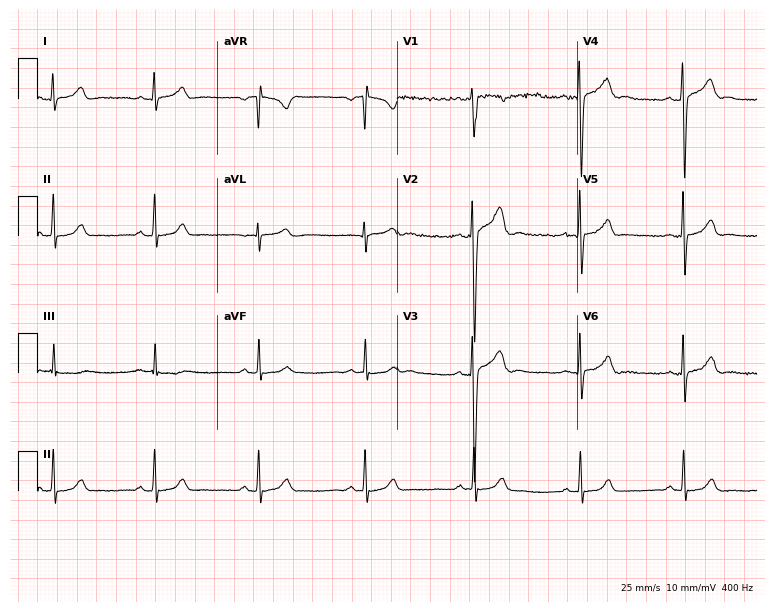
12-lead ECG (7.3-second recording at 400 Hz) from a man, 17 years old. Screened for six findings — first-degree AV block, right bundle branch block, left bundle branch block, sinus bradycardia, atrial fibrillation, sinus tachycardia — none is recorded. Other findings, if any, are not listed.